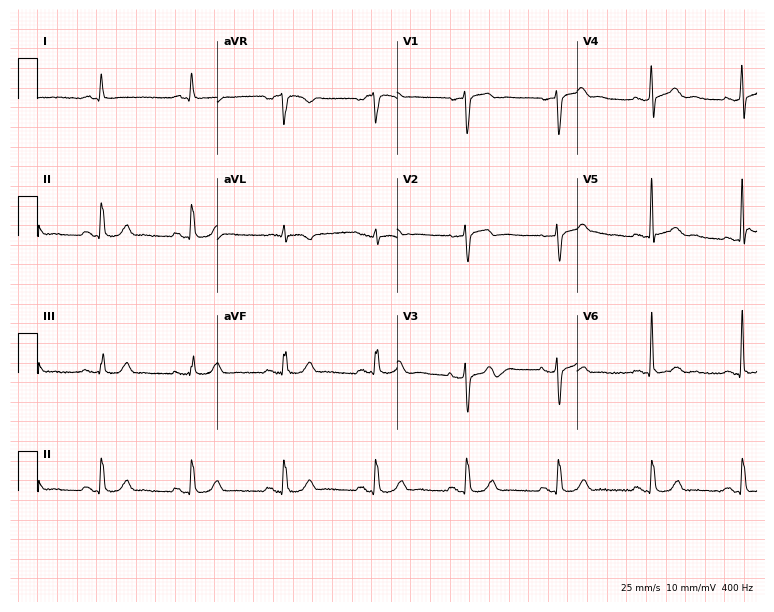
Standard 12-lead ECG recorded from a 79-year-old male (7.3-second recording at 400 Hz). None of these six findings is recorded: first-degree AV block, right bundle branch block, left bundle branch block, sinus bradycardia, atrial fibrillation, sinus tachycardia.